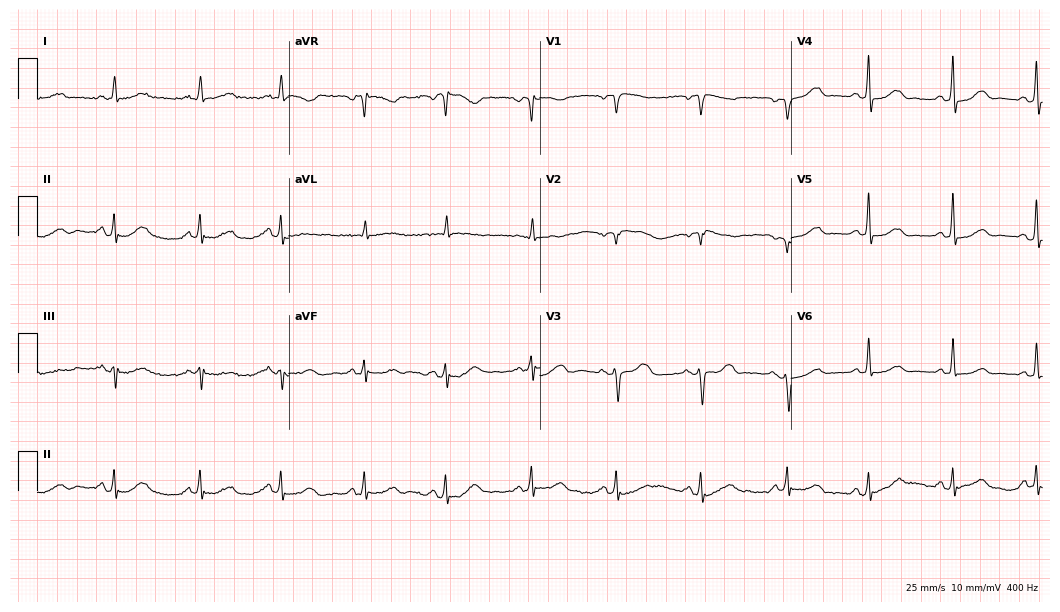
Resting 12-lead electrocardiogram. Patient: a 59-year-old female. None of these six findings is recorded: first-degree AV block, right bundle branch block, left bundle branch block, sinus bradycardia, atrial fibrillation, sinus tachycardia.